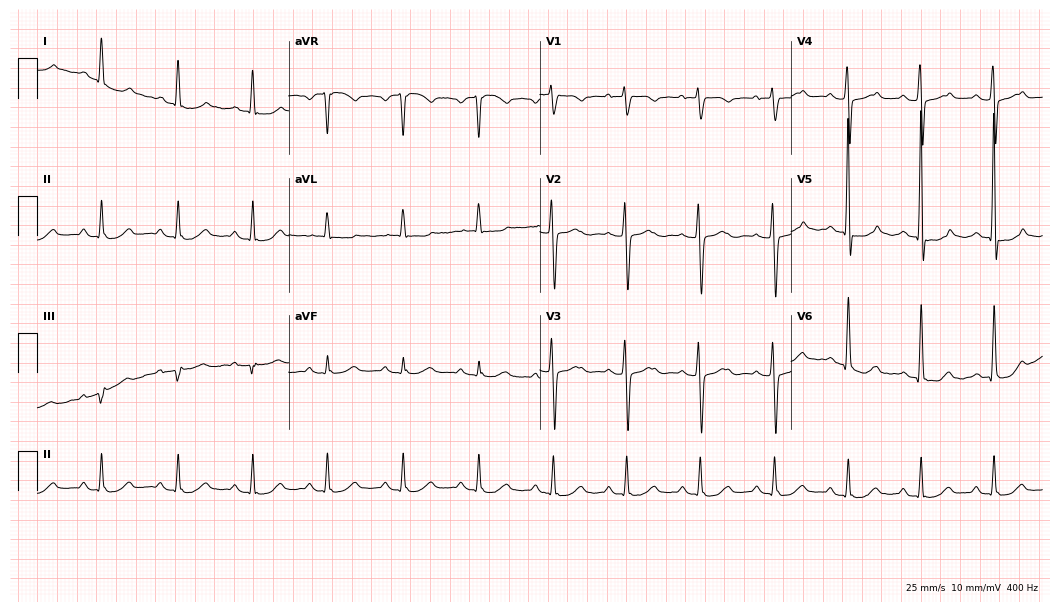
Standard 12-lead ECG recorded from a female patient, 75 years old. None of these six findings is recorded: first-degree AV block, right bundle branch block, left bundle branch block, sinus bradycardia, atrial fibrillation, sinus tachycardia.